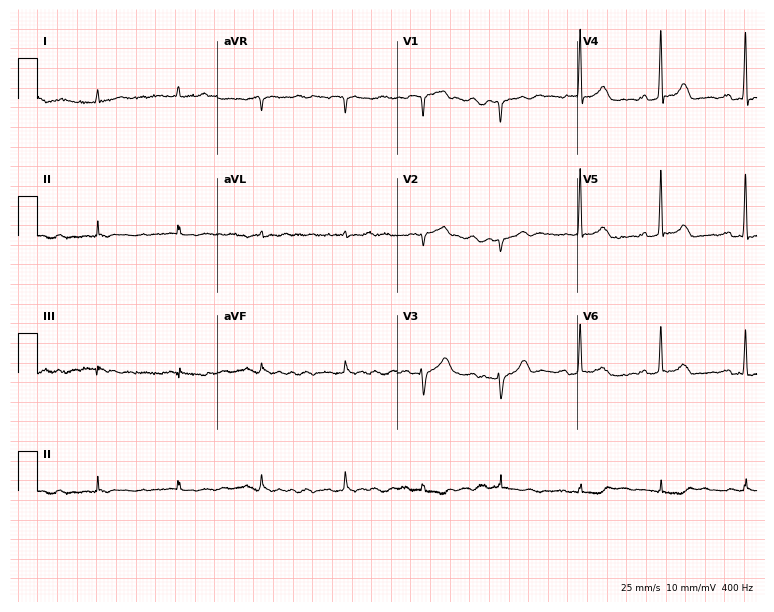
12-lead ECG from a 76-year-old male (7.3-second recording at 400 Hz). No first-degree AV block, right bundle branch block (RBBB), left bundle branch block (LBBB), sinus bradycardia, atrial fibrillation (AF) or sinus tachycardia recorded for this tracing.